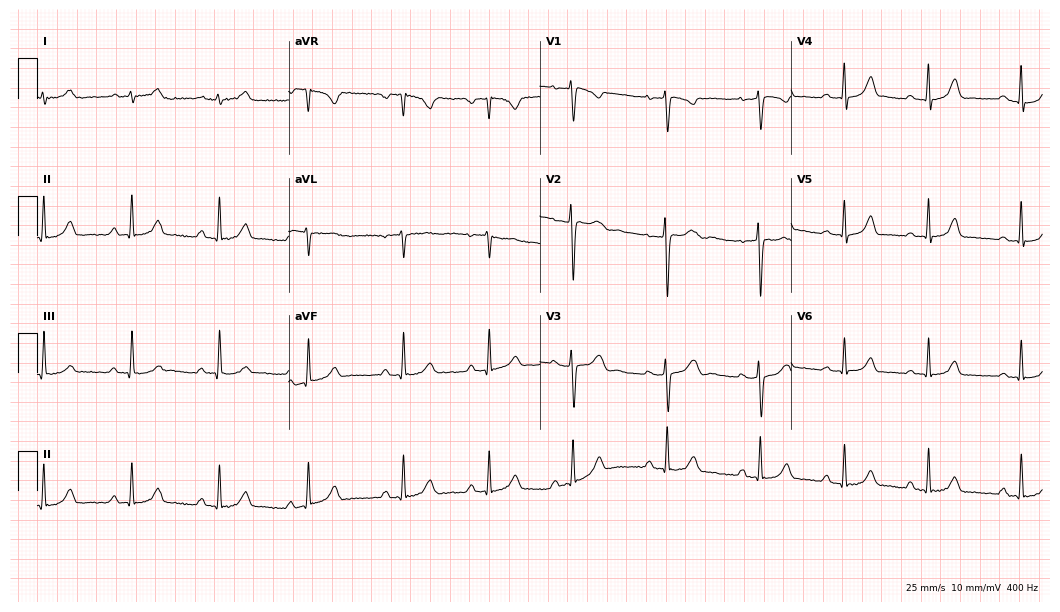
Standard 12-lead ECG recorded from a 25-year-old female patient. Read as a normal ECG.